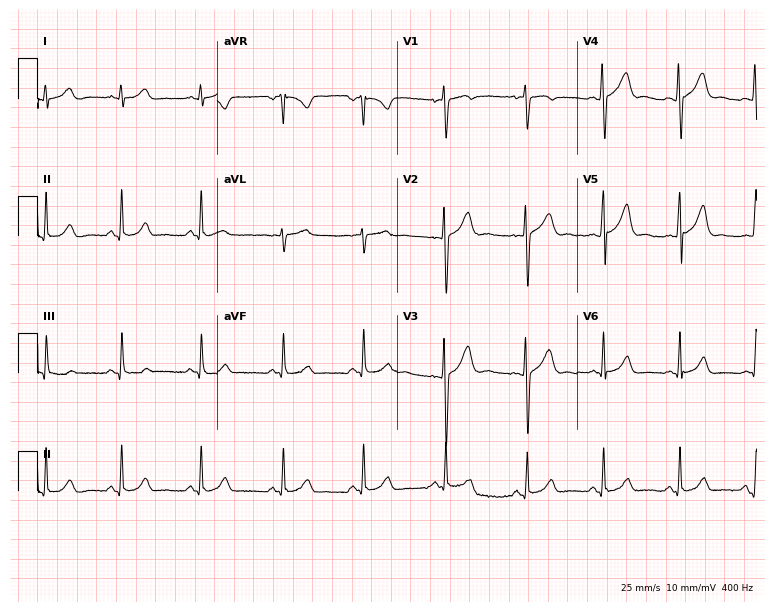
Resting 12-lead electrocardiogram (7.3-second recording at 400 Hz). Patient: a female, 30 years old. Read as a normal ECG.